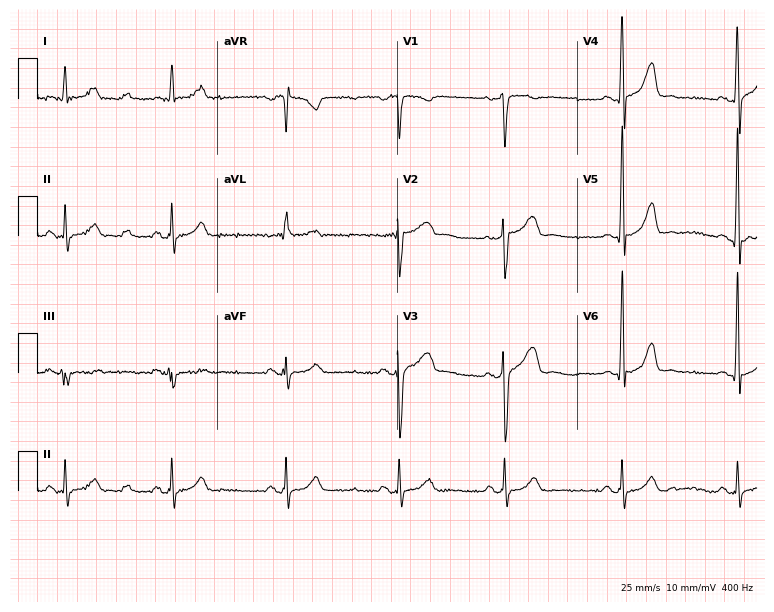
12-lead ECG (7.3-second recording at 400 Hz) from a 53-year-old male. Screened for six findings — first-degree AV block, right bundle branch block, left bundle branch block, sinus bradycardia, atrial fibrillation, sinus tachycardia — none is recorded.